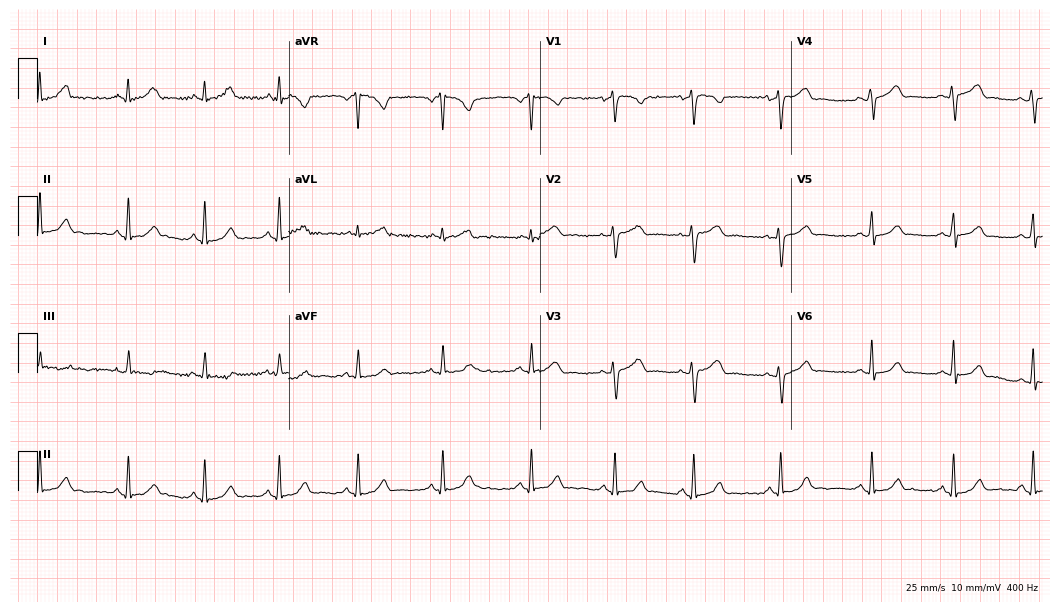
12-lead ECG from a female, 37 years old. Labelled as a normal ECG.